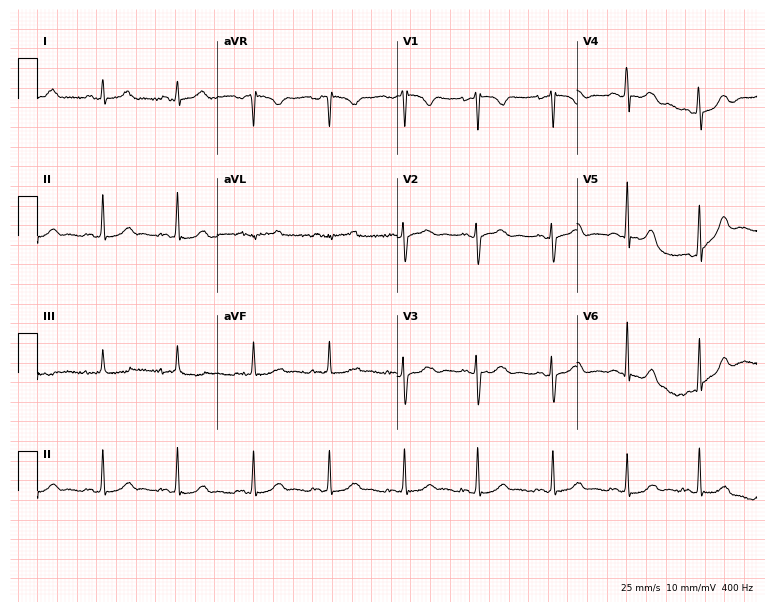
Electrocardiogram, a female, 17 years old. Of the six screened findings (first-degree AV block, right bundle branch block, left bundle branch block, sinus bradycardia, atrial fibrillation, sinus tachycardia), none is recorded. Other findings, if any, are not listed.